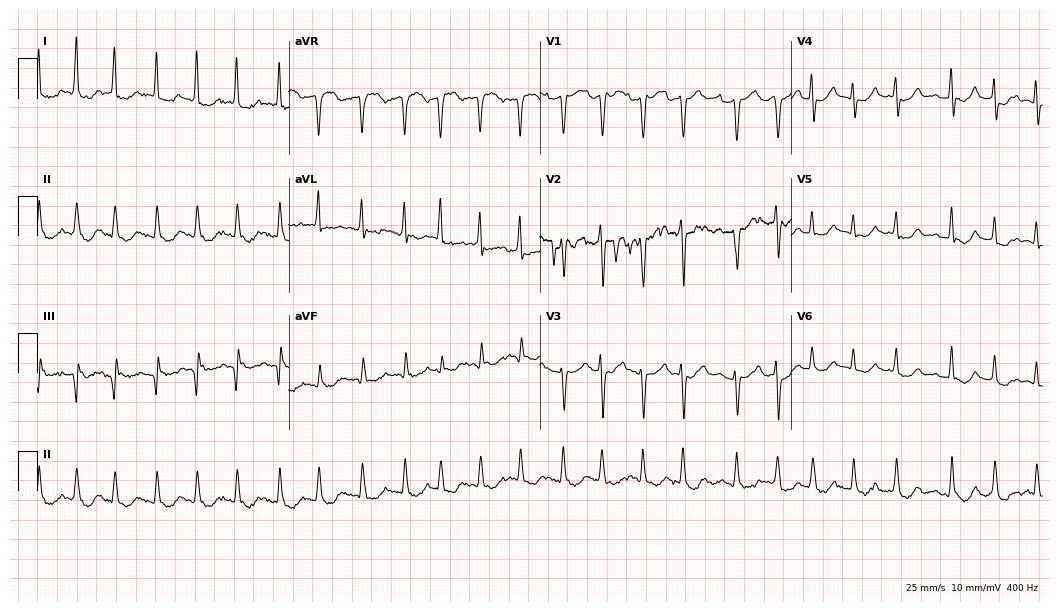
12-lead ECG from a female, 82 years old. Shows atrial fibrillation (AF), sinus tachycardia (a sinus rate of 100 beats per minute or more).